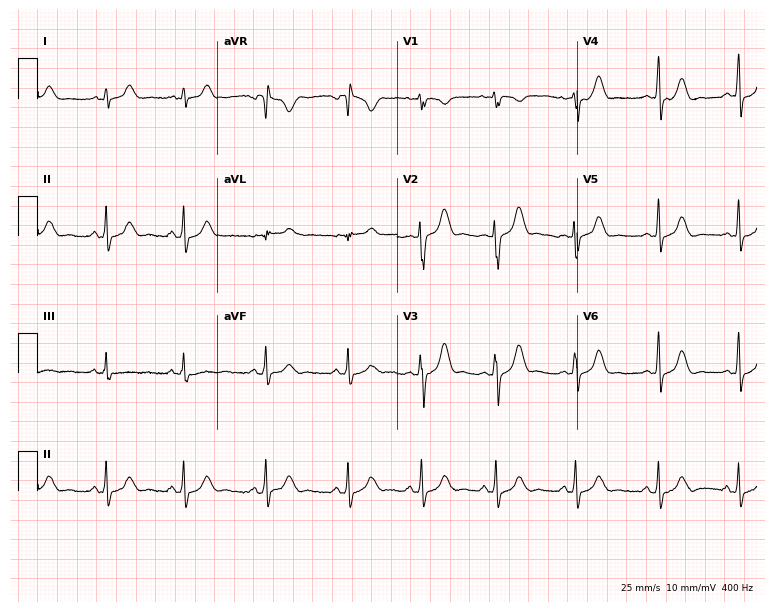
ECG — a woman, 19 years old. Labelled as a normal ECG.